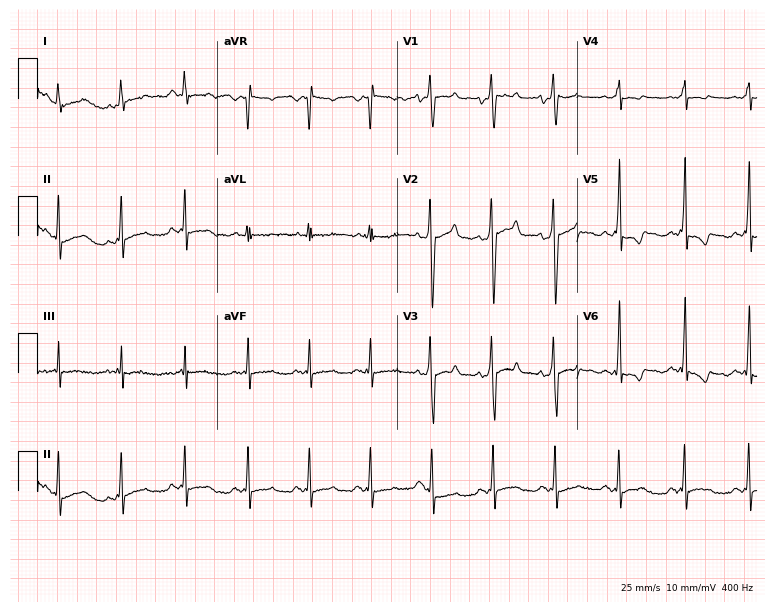
Standard 12-lead ECG recorded from a 19-year-old male. None of these six findings is recorded: first-degree AV block, right bundle branch block (RBBB), left bundle branch block (LBBB), sinus bradycardia, atrial fibrillation (AF), sinus tachycardia. Other findings, if any, are not listed.